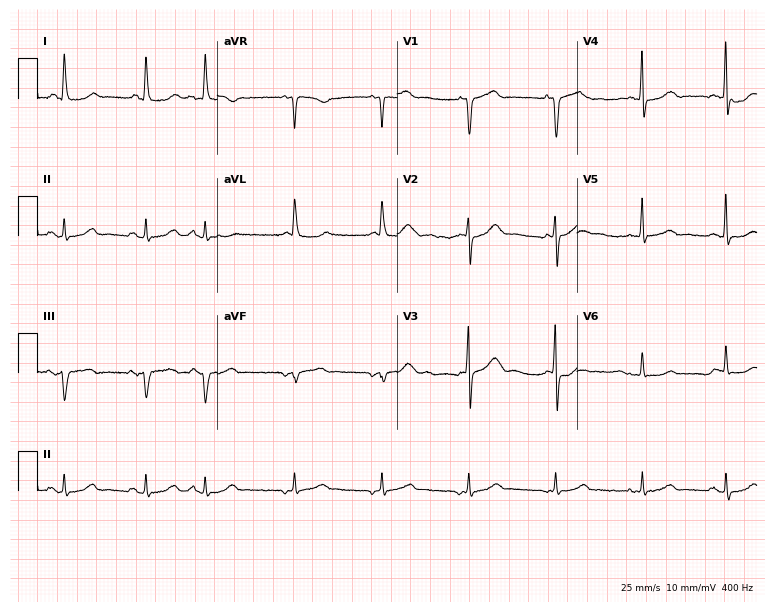
ECG — a 65-year-old female. Screened for six findings — first-degree AV block, right bundle branch block (RBBB), left bundle branch block (LBBB), sinus bradycardia, atrial fibrillation (AF), sinus tachycardia — none is recorded.